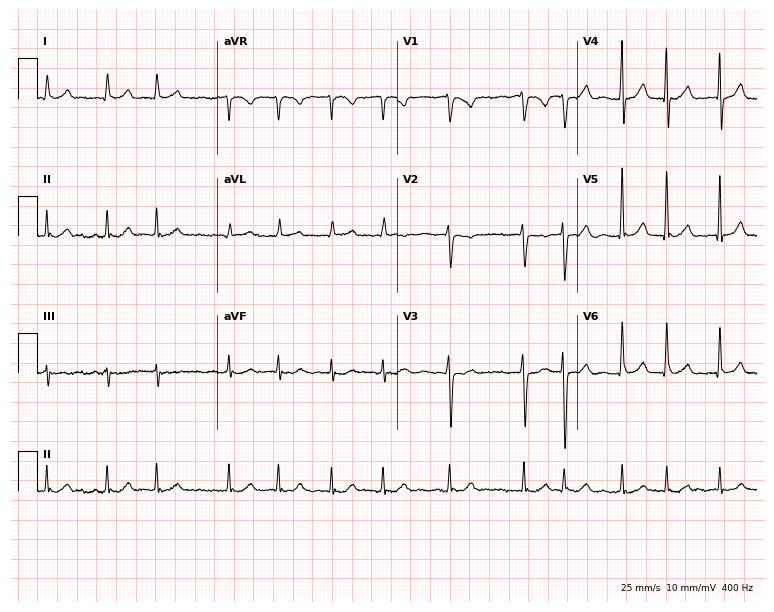
Electrocardiogram, a 79-year-old female. Interpretation includes atrial fibrillation (AF).